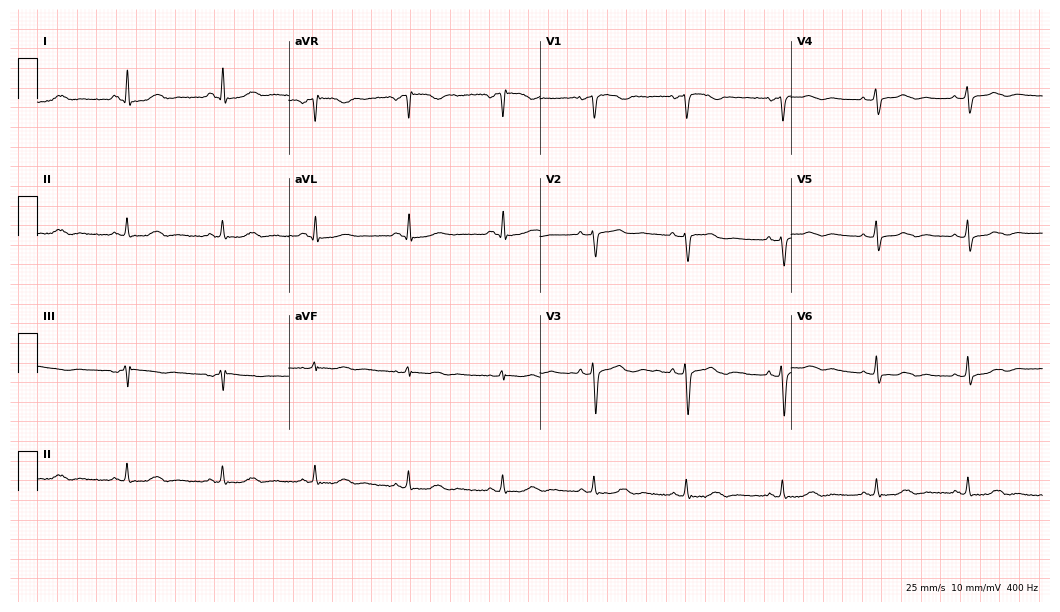
Standard 12-lead ECG recorded from a female, 45 years old. None of these six findings is recorded: first-degree AV block, right bundle branch block, left bundle branch block, sinus bradycardia, atrial fibrillation, sinus tachycardia.